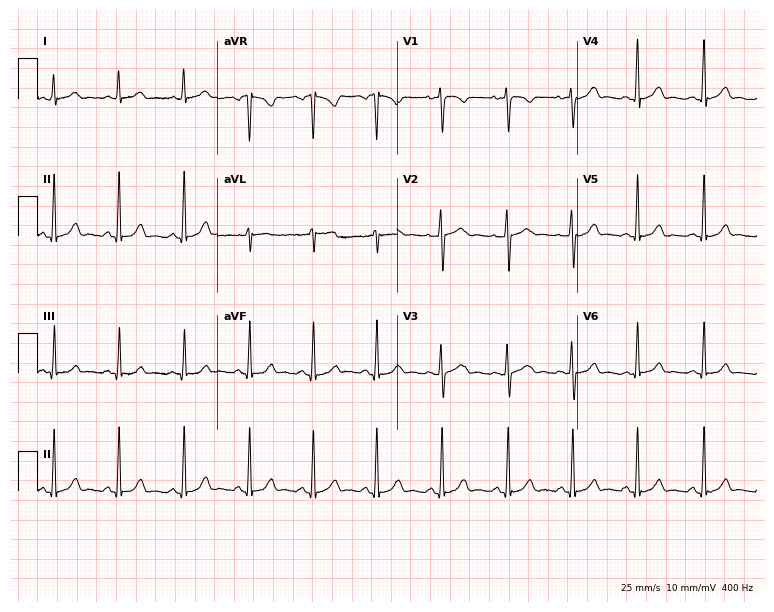
Electrocardiogram, a 25-year-old female patient. Overall reading on record: normal ECG.